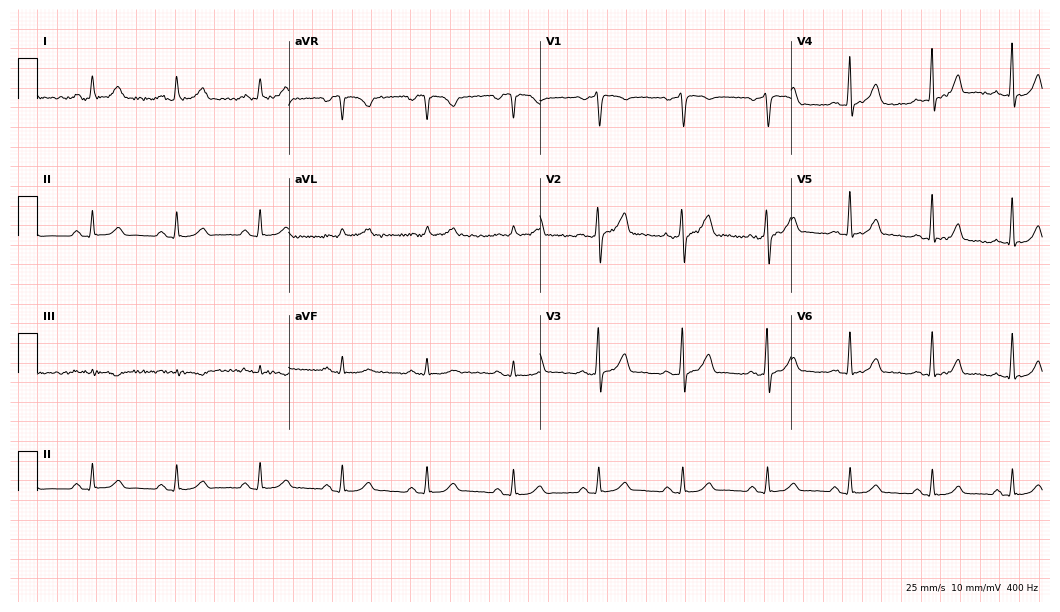
Resting 12-lead electrocardiogram (10.2-second recording at 400 Hz). Patient: a male, 34 years old. Read as a normal ECG.